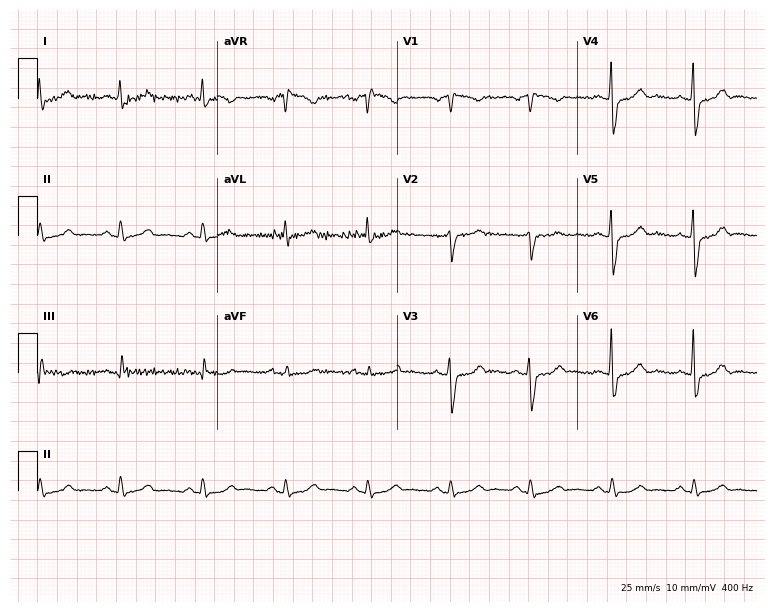
12-lead ECG from a male, 63 years old (7.3-second recording at 400 Hz). No first-degree AV block, right bundle branch block, left bundle branch block, sinus bradycardia, atrial fibrillation or sinus tachycardia recorded for this tracing.